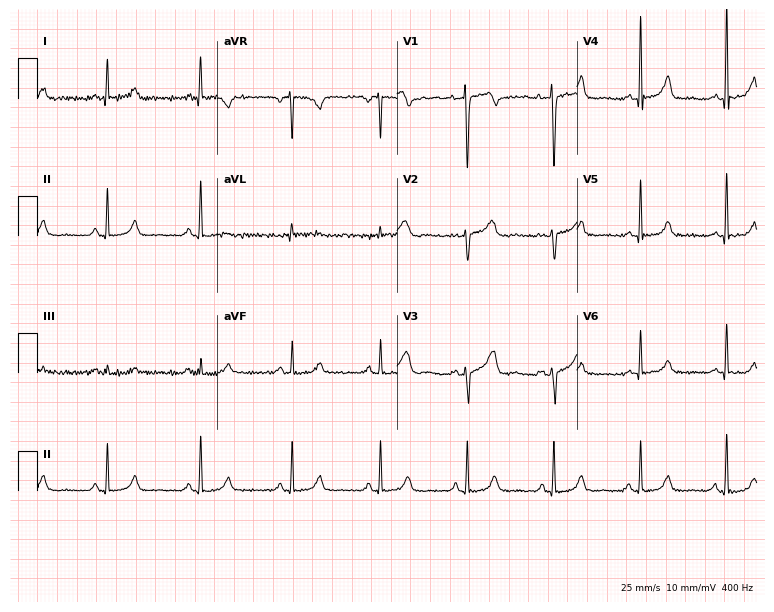
Electrocardiogram, a 46-year-old female patient. Of the six screened findings (first-degree AV block, right bundle branch block, left bundle branch block, sinus bradycardia, atrial fibrillation, sinus tachycardia), none is recorded. Other findings, if any, are not listed.